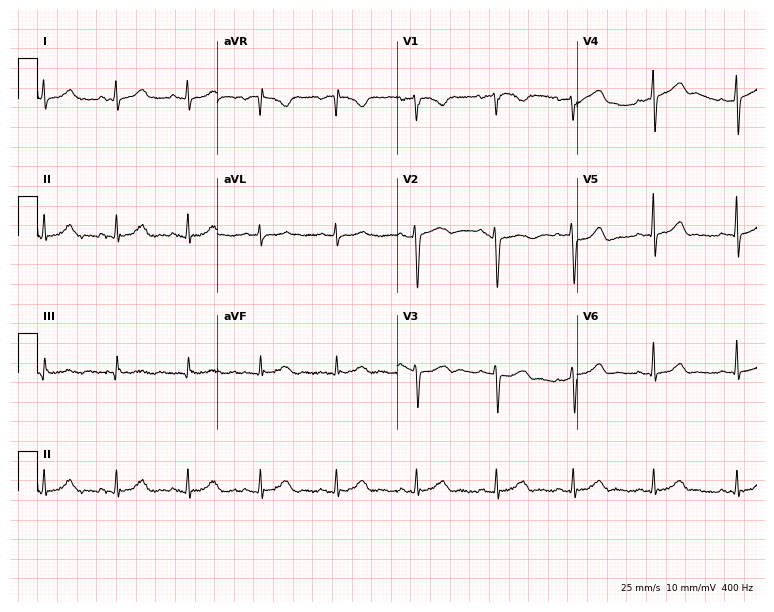
Electrocardiogram, a woman, 31 years old. Overall reading on record: normal ECG.